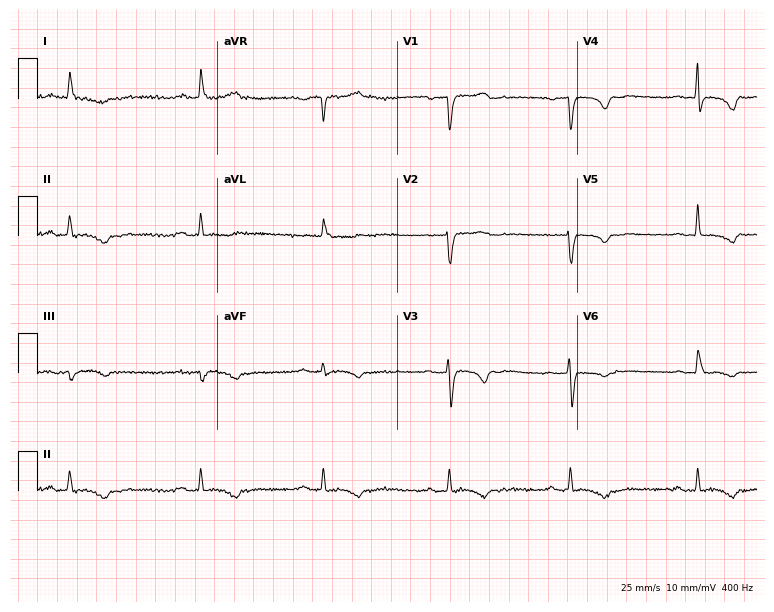
Resting 12-lead electrocardiogram. Patient: a female, 73 years old. The tracing shows first-degree AV block.